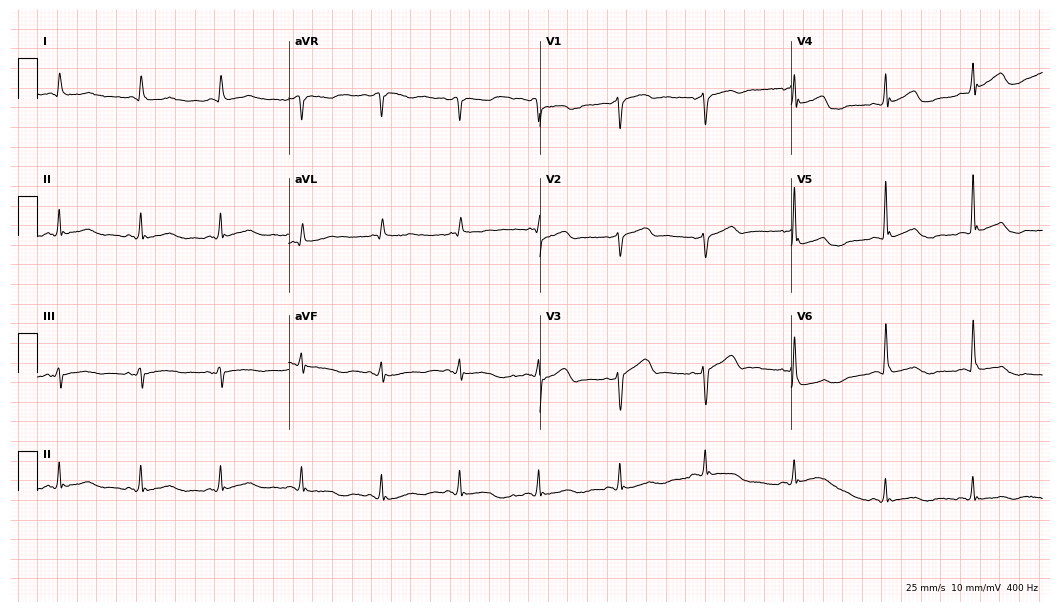
Resting 12-lead electrocardiogram. Patient: a 48-year-old male. None of these six findings is recorded: first-degree AV block, right bundle branch block, left bundle branch block, sinus bradycardia, atrial fibrillation, sinus tachycardia.